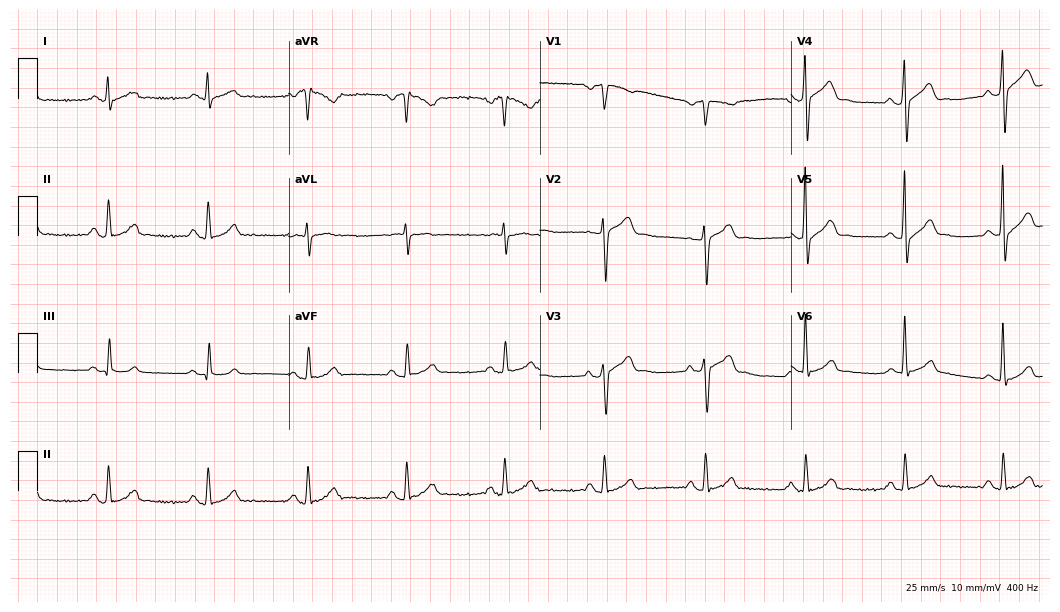
12-lead ECG from a 45-year-old male. Recorded interpretation: within normal limits.